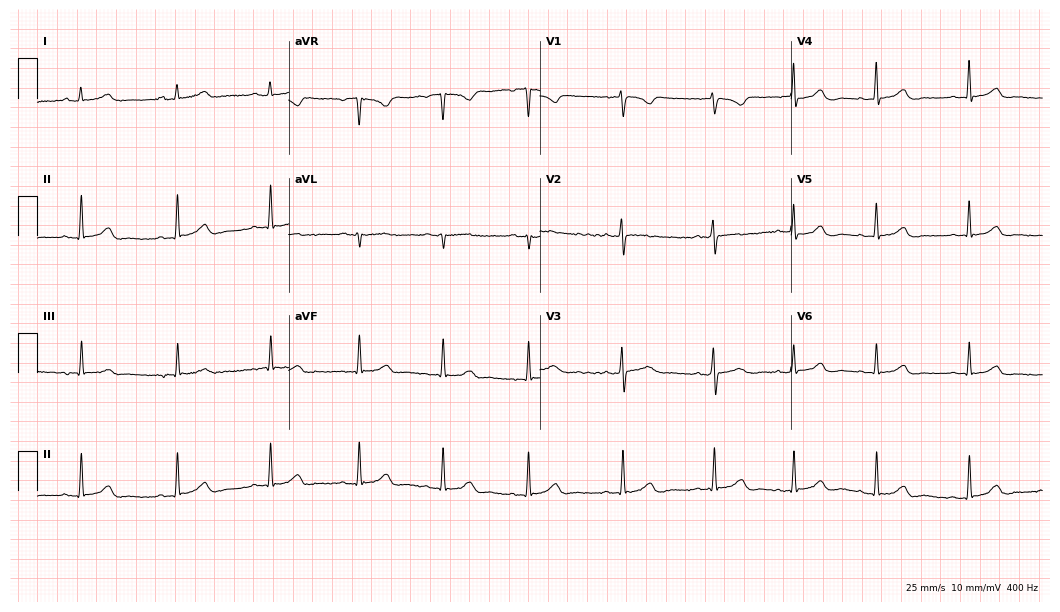
Electrocardiogram, a woman, 24 years old. Overall reading on record: normal ECG.